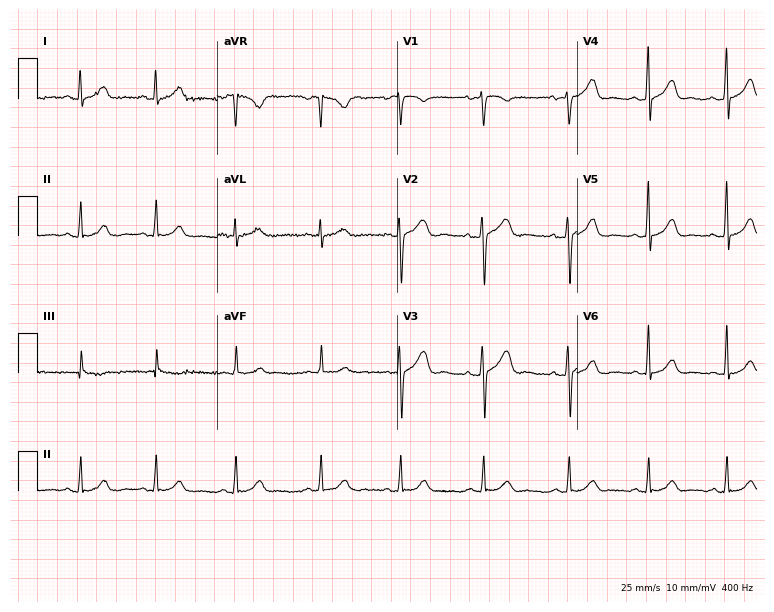
Standard 12-lead ECG recorded from a 20-year-old woman (7.3-second recording at 400 Hz). Read as a normal ECG.